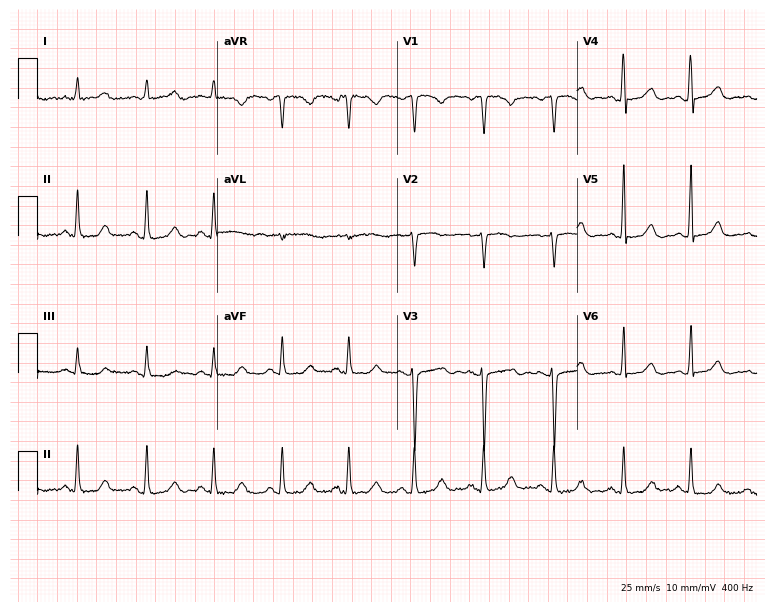
Standard 12-lead ECG recorded from a 24-year-old female patient (7.3-second recording at 400 Hz). None of these six findings is recorded: first-degree AV block, right bundle branch block (RBBB), left bundle branch block (LBBB), sinus bradycardia, atrial fibrillation (AF), sinus tachycardia. Findings outside these six are not listed.